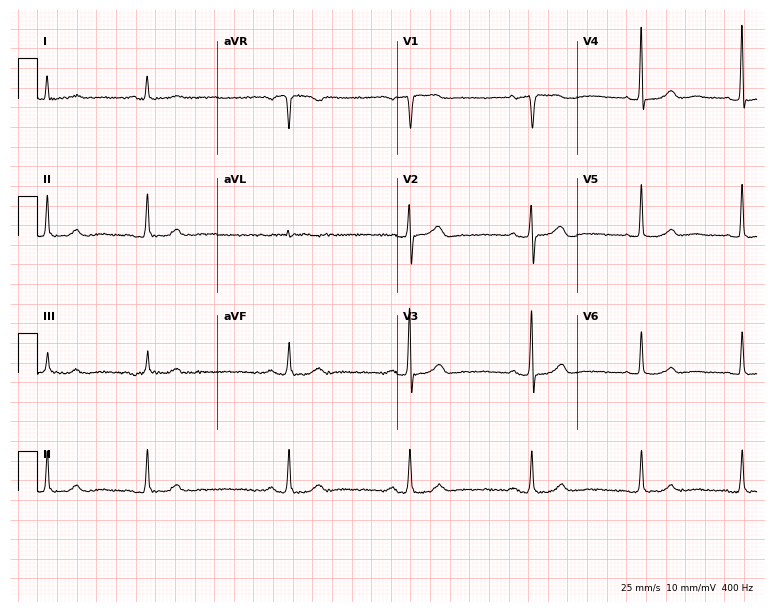
12-lead ECG from a 74-year-old male patient. No first-degree AV block, right bundle branch block, left bundle branch block, sinus bradycardia, atrial fibrillation or sinus tachycardia recorded for this tracing.